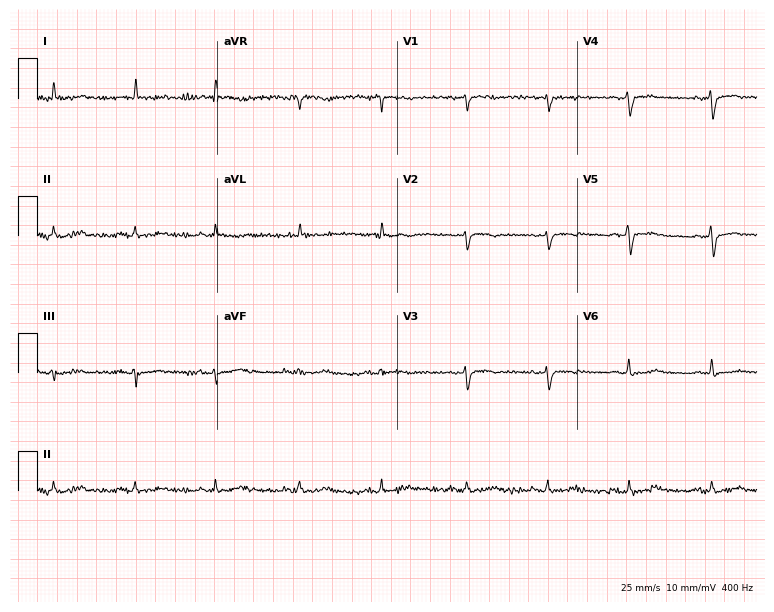
Electrocardiogram, a 72-year-old female patient. Of the six screened findings (first-degree AV block, right bundle branch block (RBBB), left bundle branch block (LBBB), sinus bradycardia, atrial fibrillation (AF), sinus tachycardia), none is recorded.